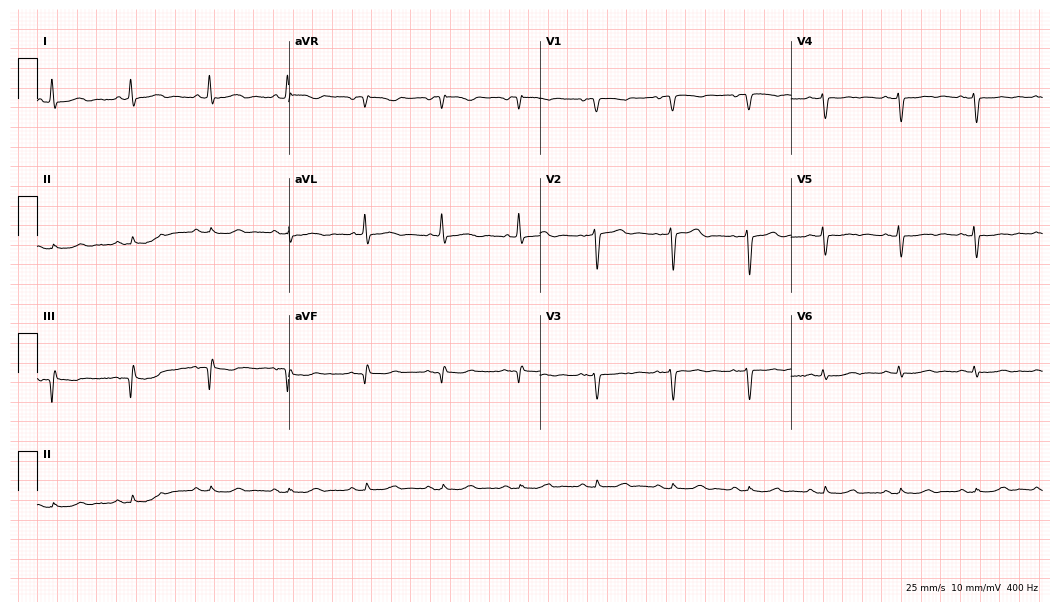
ECG (10.2-second recording at 400 Hz) — a 72-year-old female. Screened for six findings — first-degree AV block, right bundle branch block (RBBB), left bundle branch block (LBBB), sinus bradycardia, atrial fibrillation (AF), sinus tachycardia — none is recorded.